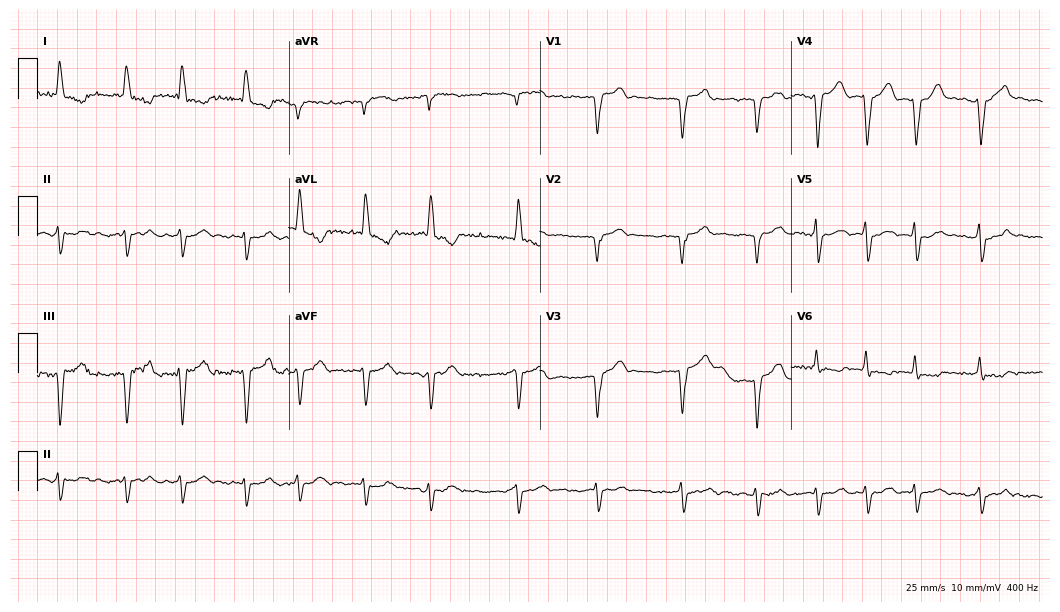
ECG — a 71-year-old man. Findings include atrial fibrillation (AF).